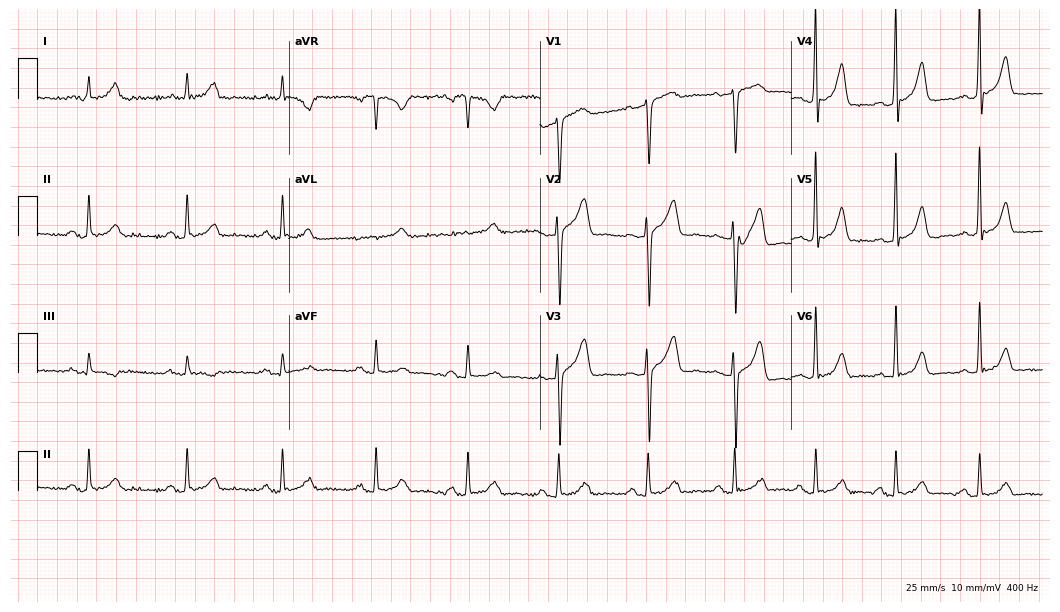
Electrocardiogram (10.2-second recording at 400 Hz), a 61-year-old man. Overall reading on record: normal ECG.